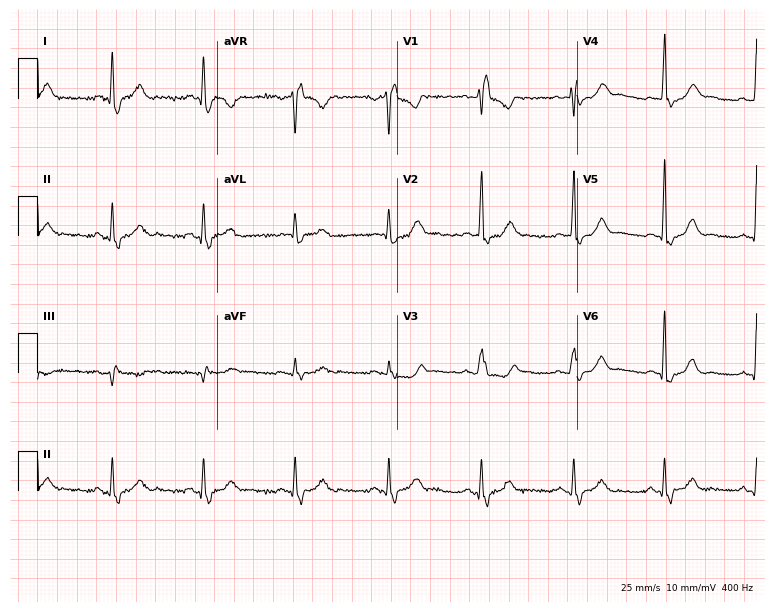
Resting 12-lead electrocardiogram. Patient: a female, 53 years old. None of these six findings is recorded: first-degree AV block, right bundle branch block, left bundle branch block, sinus bradycardia, atrial fibrillation, sinus tachycardia. Other findings, if any, are not listed.